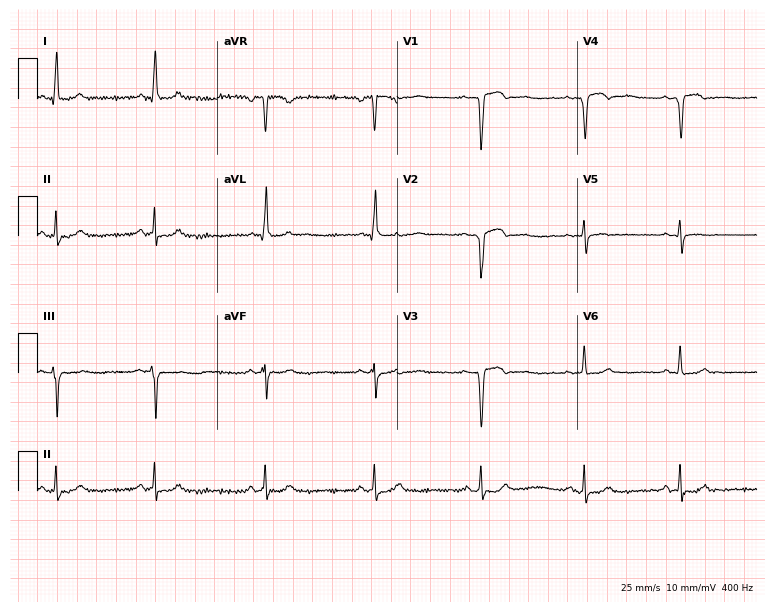
12-lead ECG from a man, 52 years old. Screened for six findings — first-degree AV block, right bundle branch block (RBBB), left bundle branch block (LBBB), sinus bradycardia, atrial fibrillation (AF), sinus tachycardia — none is recorded.